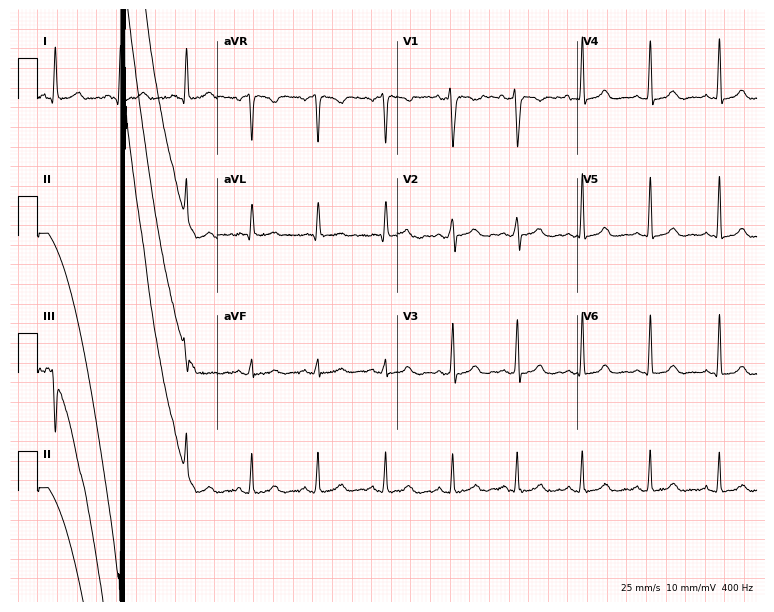
ECG (7.3-second recording at 400 Hz) — a woman, 42 years old. Screened for six findings — first-degree AV block, right bundle branch block, left bundle branch block, sinus bradycardia, atrial fibrillation, sinus tachycardia — none is recorded. Other findings, if any, are not listed.